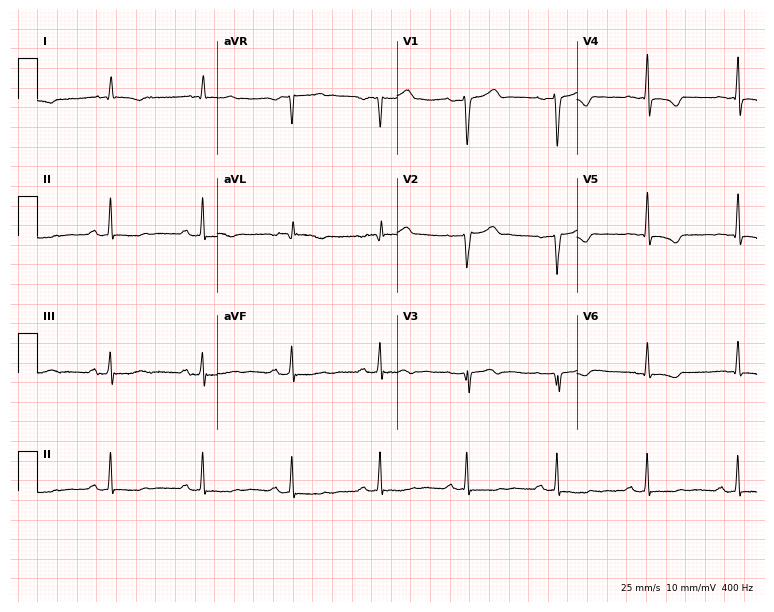
Standard 12-lead ECG recorded from a female patient, 84 years old. None of these six findings is recorded: first-degree AV block, right bundle branch block (RBBB), left bundle branch block (LBBB), sinus bradycardia, atrial fibrillation (AF), sinus tachycardia.